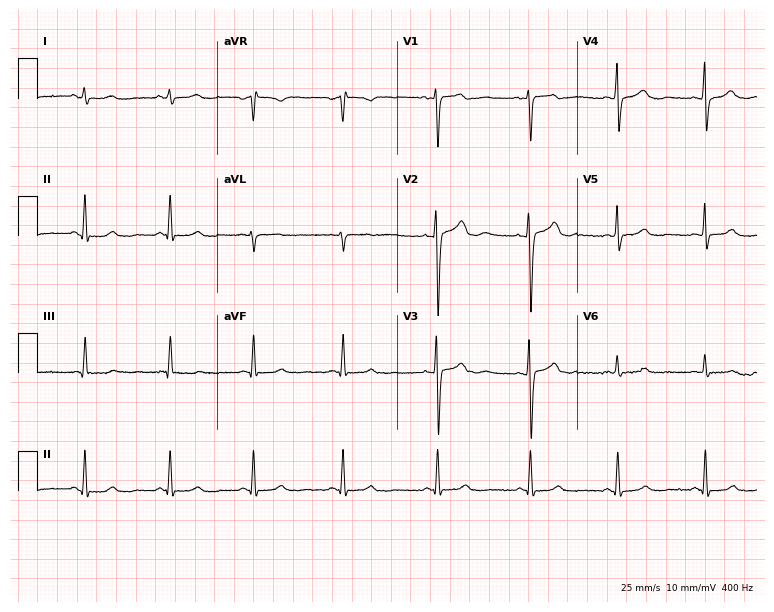
Resting 12-lead electrocardiogram (7.3-second recording at 400 Hz). Patient: a 36-year-old female. None of these six findings is recorded: first-degree AV block, right bundle branch block (RBBB), left bundle branch block (LBBB), sinus bradycardia, atrial fibrillation (AF), sinus tachycardia. Findings outside these six are not listed.